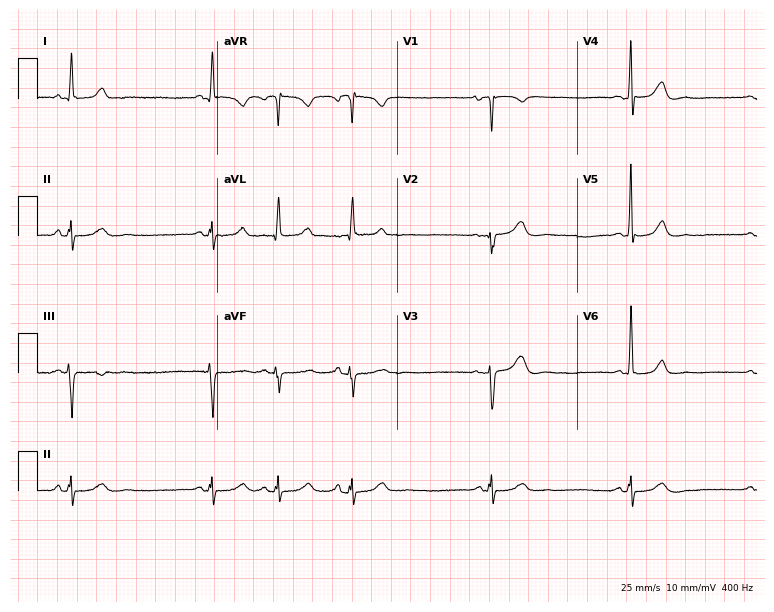
Resting 12-lead electrocardiogram (7.3-second recording at 400 Hz). Patient: a female, 80 years old. None of these six findings is recorded: first-degree AV block, right bundle branch block, left bundle branch block, sinus bradycardia, atrial fibrillation, sinus tachycardia.